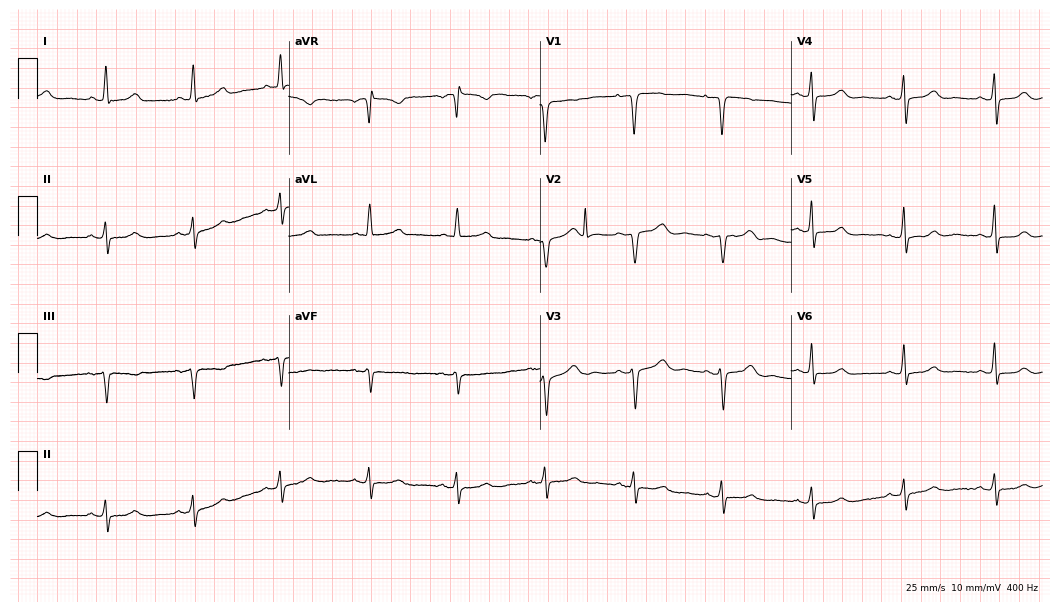
12-lead ECG from a 50-year-old female. Screened for six findings — first-degree AV block, right bundle branch block, left bundle branch block, sinus bradycardia, atrial fibrillation, sinus tachycardia — none is recorded. Findings outside these six are not listed.